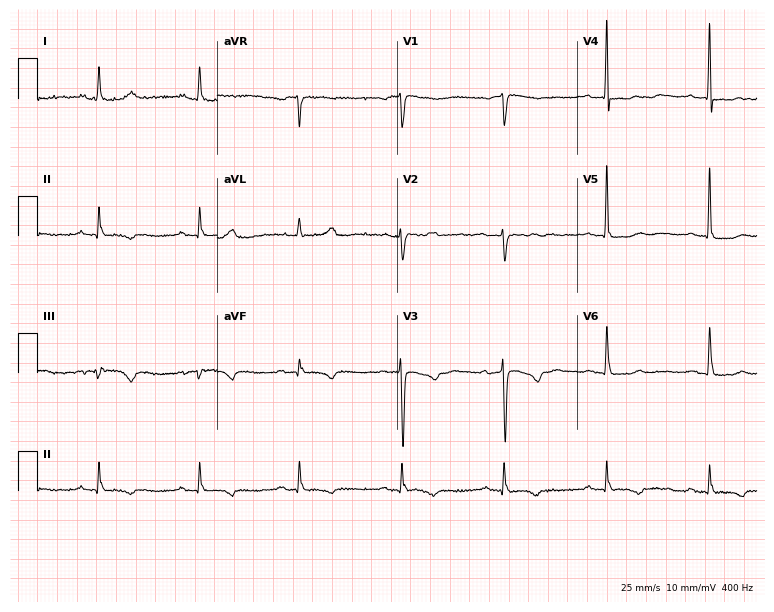
Standard 12-lead ECG recorded from an 80-year-old man. None of these six findings is recorded: first-degree AV block, right bundle branch block, left bundle branch block, sinus bradycardia, atrial fibrillation, sinus tachycardia. Only these six findings were labelled.